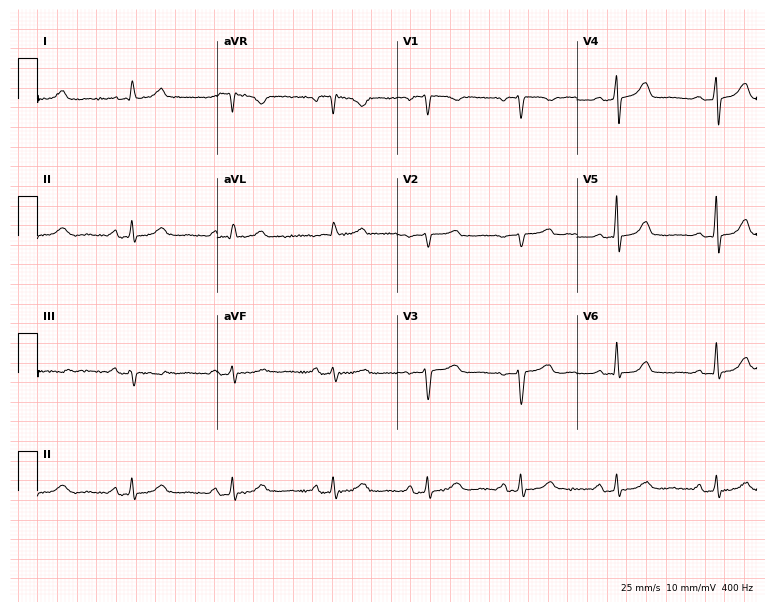
12-lead ECG (7.3-second recording at 400 Hz) from a female patient, 58 years old. Screened for six findings — first-degree AV block, right bundle branch block, left bundle branch block, sinus bradycardia, atrial fibrillation, sinus tachycardia — none is recorded.